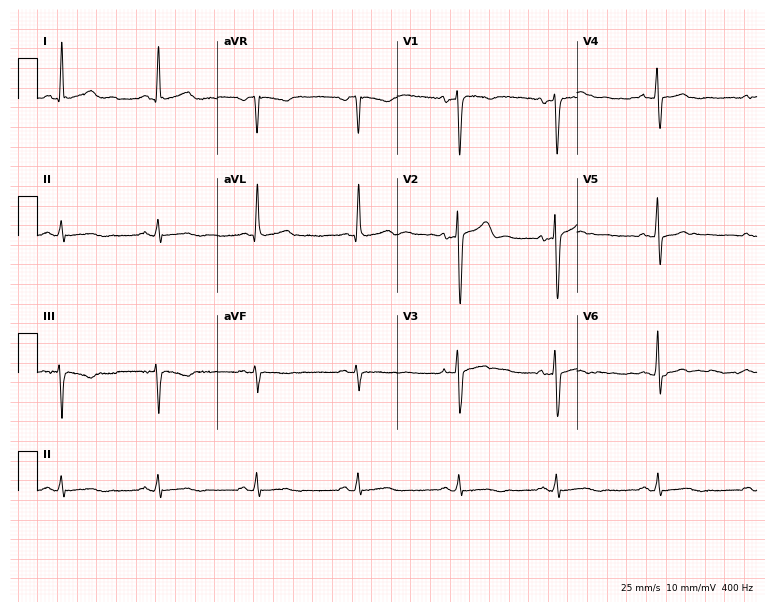
12-lead ECG (7.3-second recording at 400 Hz) from a male patient, 36 years old. Screened for six findings — first-degree AV block, right bundle branch block, left bundle branch block, sinus bradycardia, atrial fibrillation, sinus tachycardia — none is recorded. Only these six findings were labelled.